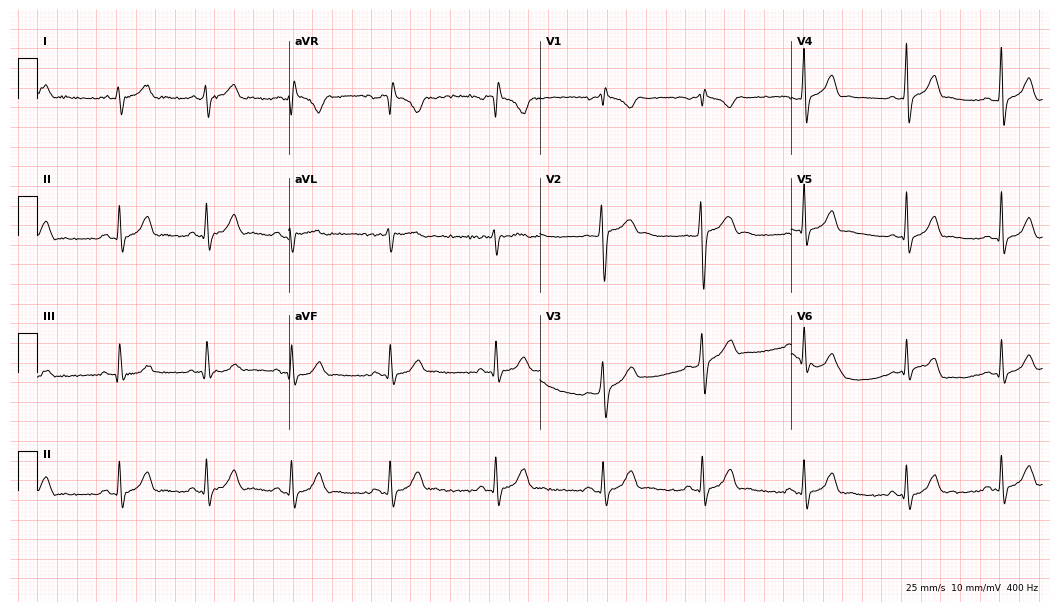
12-lead ECG from a man, 24 years old. Screened for six findings — first-degree AV block, right bundle branch block, left bundle branch block, sinus bradycardia, atrial fibrillation, sinus tachycardia — none is recorded. Findings outside these six are not listed.